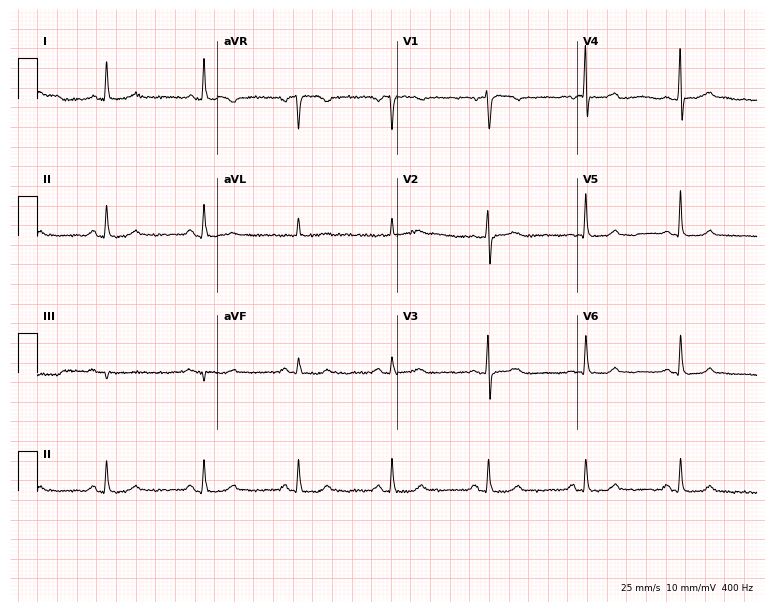
Resting 12-lead electrocardiogram. Patient: a female, 71 years old. Read as a normal ECG.